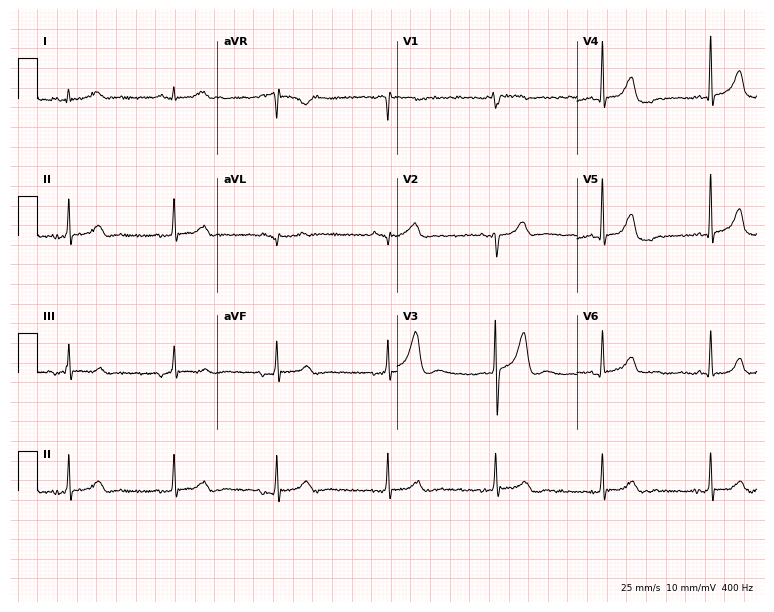
ECG (7.3-second recording at 400 Hz) — a male patient, 38 years old. Screened for six findings — first-degree AV block, right bundle branch block (RBBB), left bundle branch block (LBBB), sinus bradycardia, atrial fibrillation (AF), sinus tachycardia — none is recorded. Only these six findings were labelled.